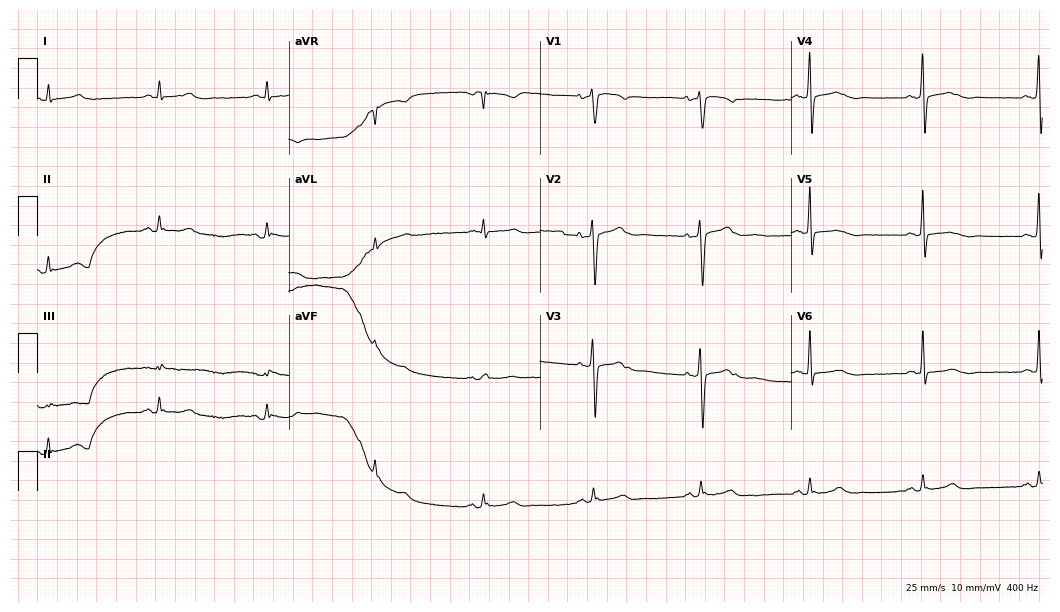
Standard 12-lead ECG recorded from a woman, 50 years old (10.2-second recording at 400 Hz). None of these six findings is recorded: first-degree AV block, right bundle branch block (RBBB), left bundle branch block (LBBB), sinus bradycardia, atrial fibrillation (AF), sinus tachycardia.